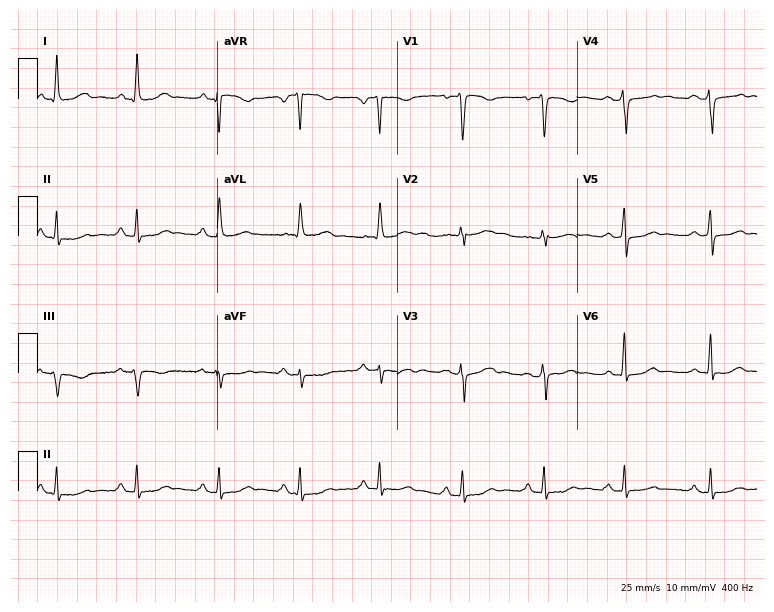
12-lead ECG (7.3-second recording at 400 Hz) from a woman, 35 years old. Screened for six findings — first-degree AV block, right bundle branch block, left bundle branch block, sinus bradycardia, atrial fibrillation, sinus tachycardia — none is recorded. Only these six findings were labelled.